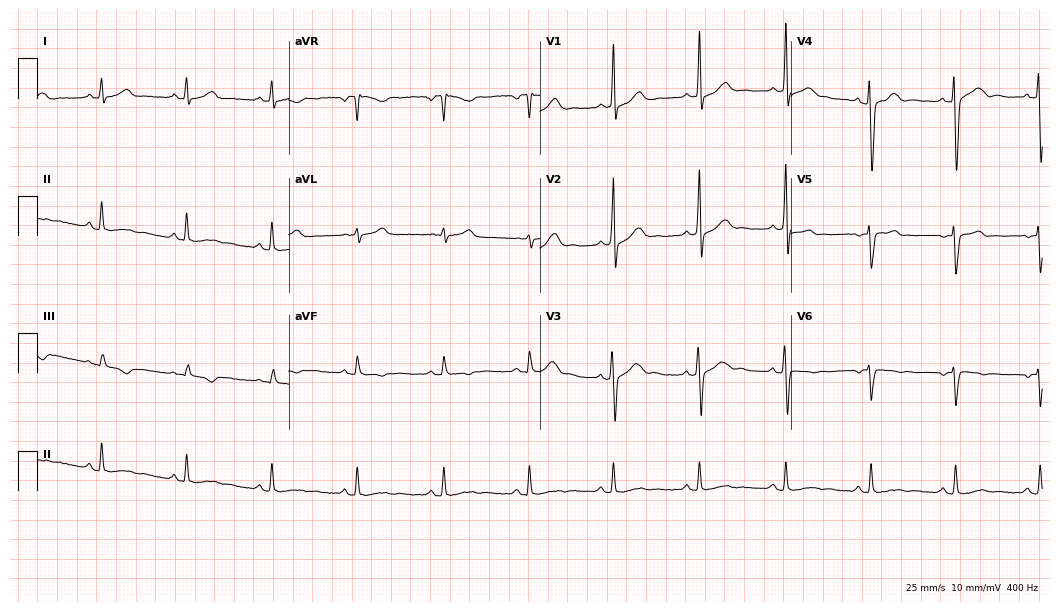
ECG (10.2-second recording at 400 Hz) — a male, 35 years old. Screened for six findings — first-degree AV block, right bundle branch block, left bundle branch block, sinus bradycardia, atrial fibrillation, sinus tachycardia — none is recorded.